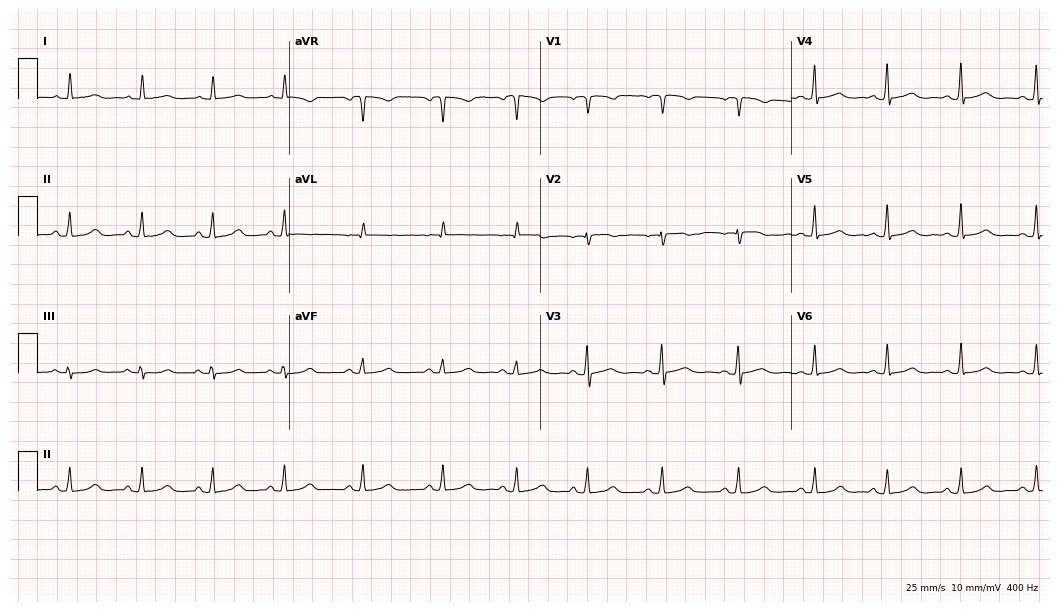
12-lead ECG from a 41-year-old female patient. Recorded interpretation: within normal limits.